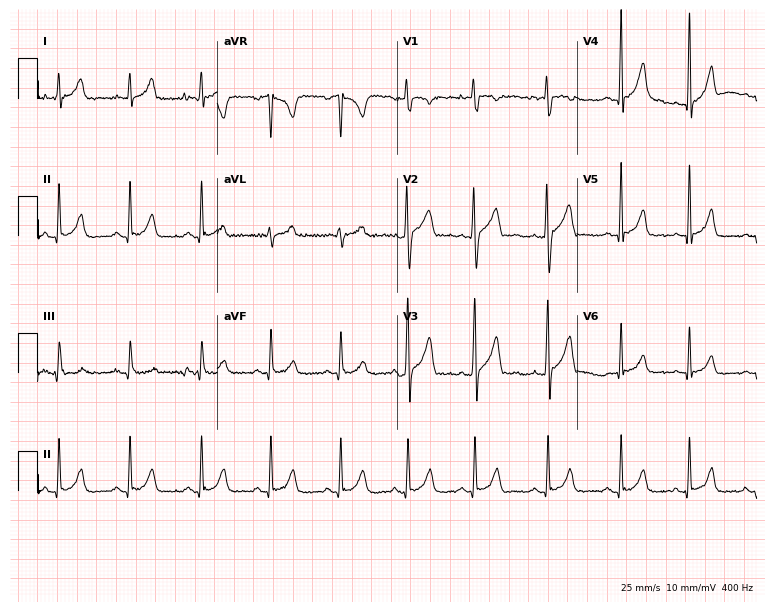
12-lead ECG from a 23-year-old male patient (7.3-second recording at 400 Hz). Recorded interpretation: within normal limits.